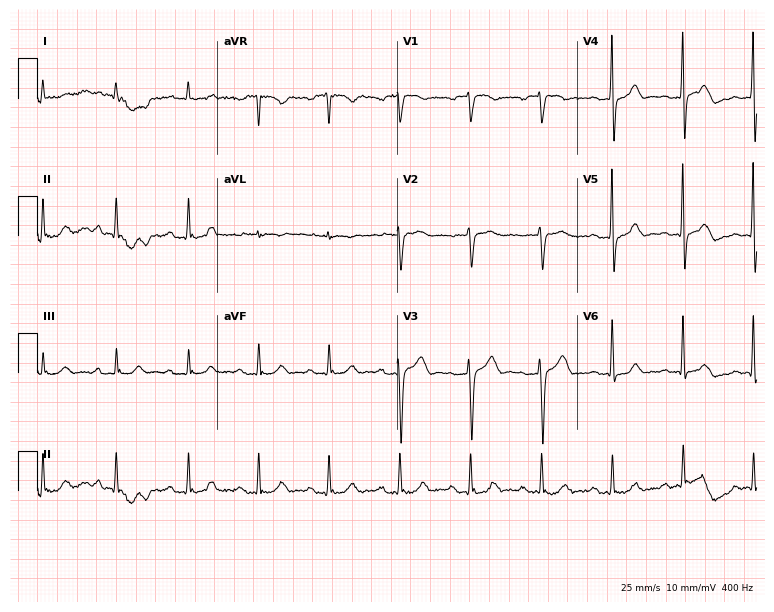
Resting 12-lead electrocardiogram (7.3-second recording at 400 Hz). Patient: a male, 78 years old. Read as a normal ECG.